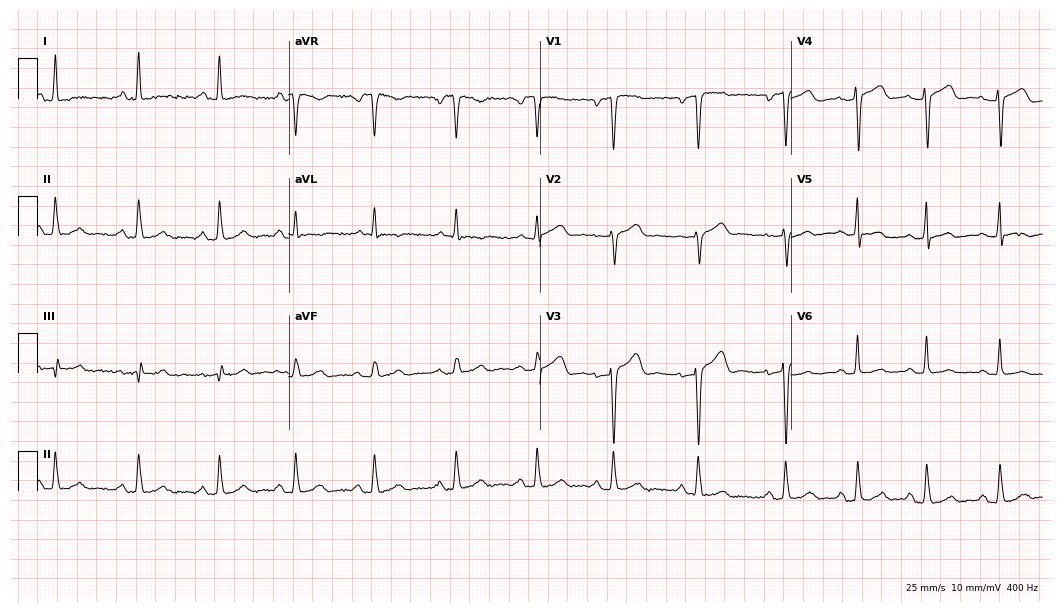
Resting 12-lead electrocardiogram (10.2-second recording at 400 Hz). Patient: a woman, 48 years old. Read as a normal ECG.